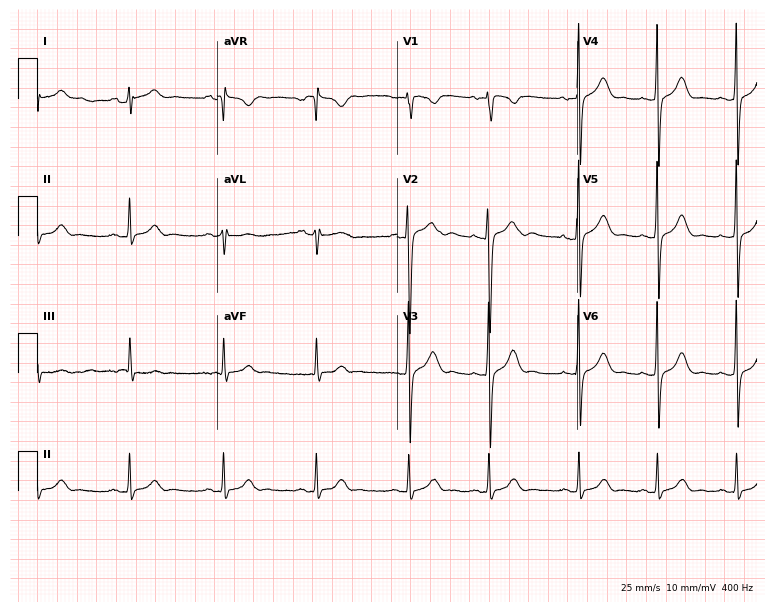
12-lead ECG (7.3-second recording at 400 Hz) from a female, 17 years old. Labelled as a normal ECG.